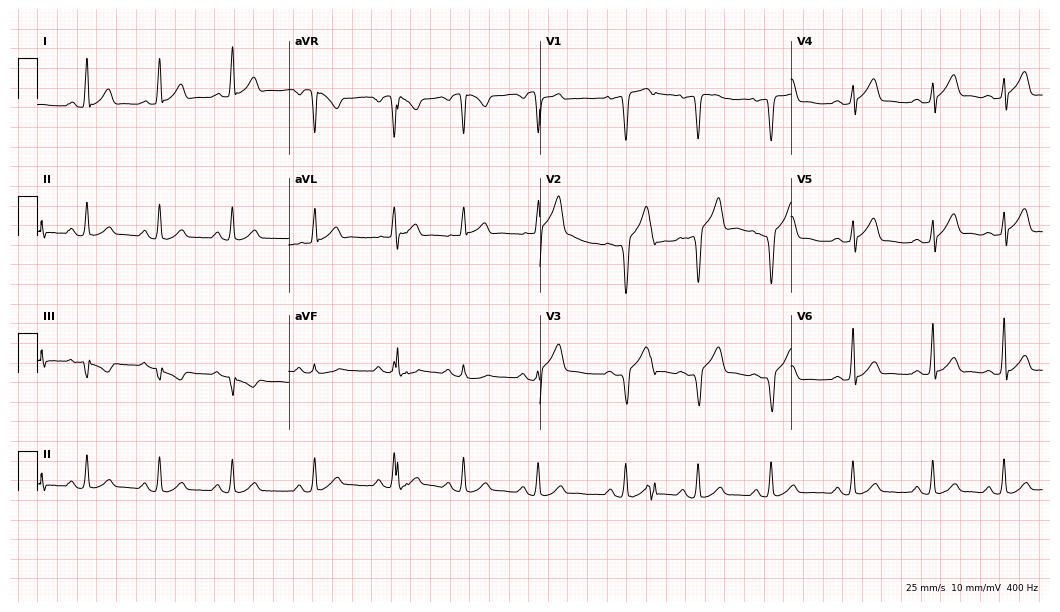
ECG (10.2-second recording at 400 Hz) — a man, 35 years old. Labelled as a normal ECG.